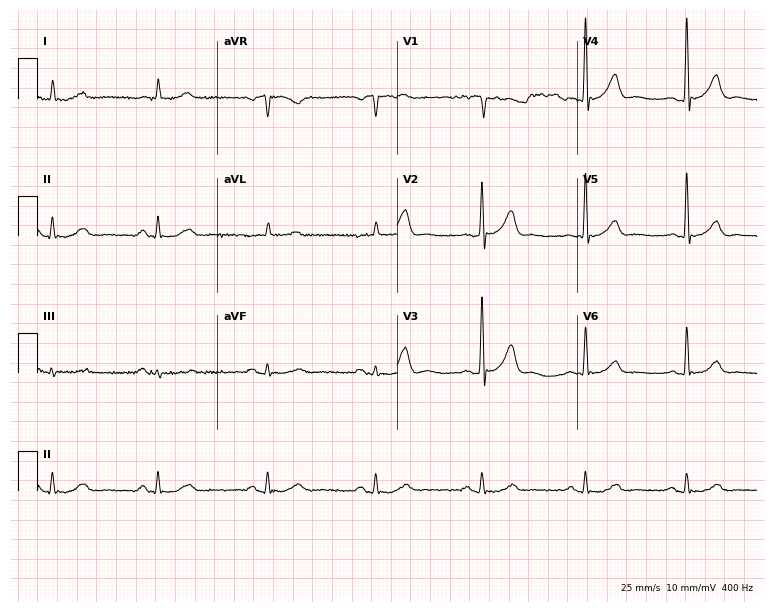
Standard 12-lead ECG recorded from a 71-year-old man. Read as a normal ECG.